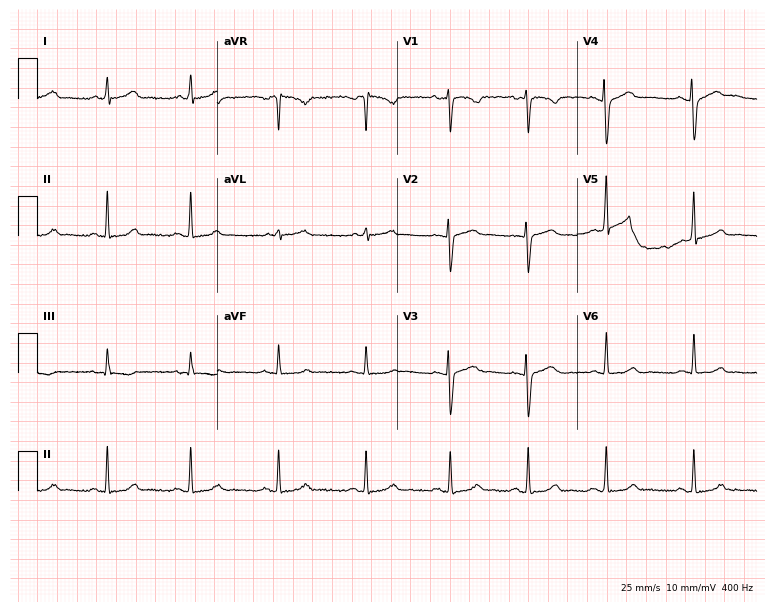
Electrocardiogram, a 31-year-old female patient. Overall reading on record: normal ECG.